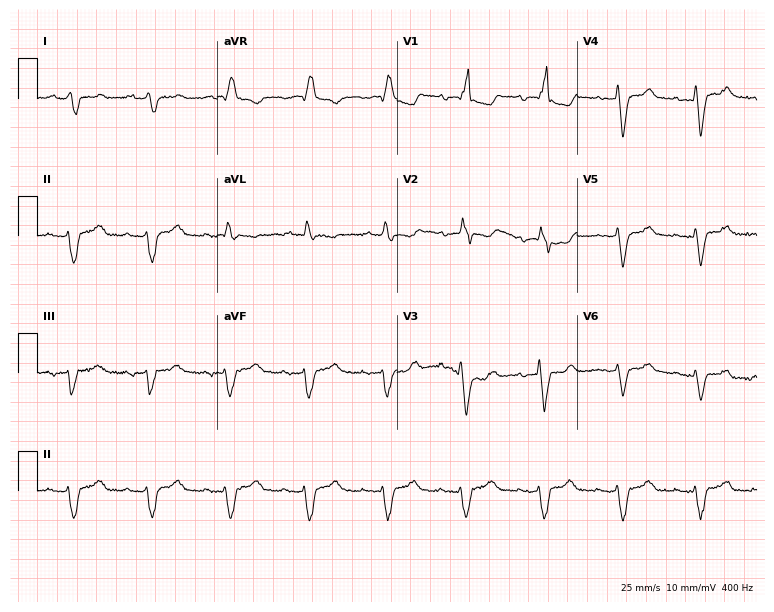
Standard 12-lead ECG recorded from a man, 79 years old. The tracing shows first-degree AV block, right bundle branch block (RBBB).